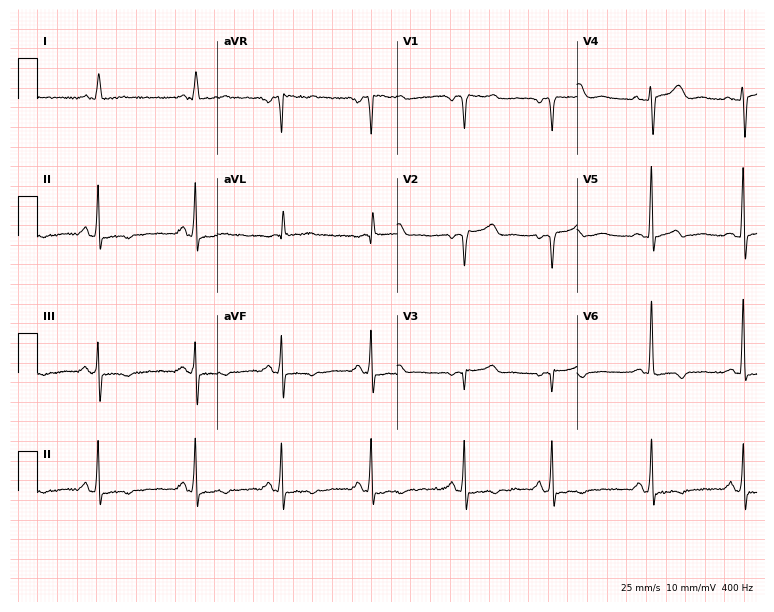
Resting 12-lead electrocardiogram (7.3-second recording at 400 Hz). Patient: a 79-year-old woman. Read as a normal ECG.